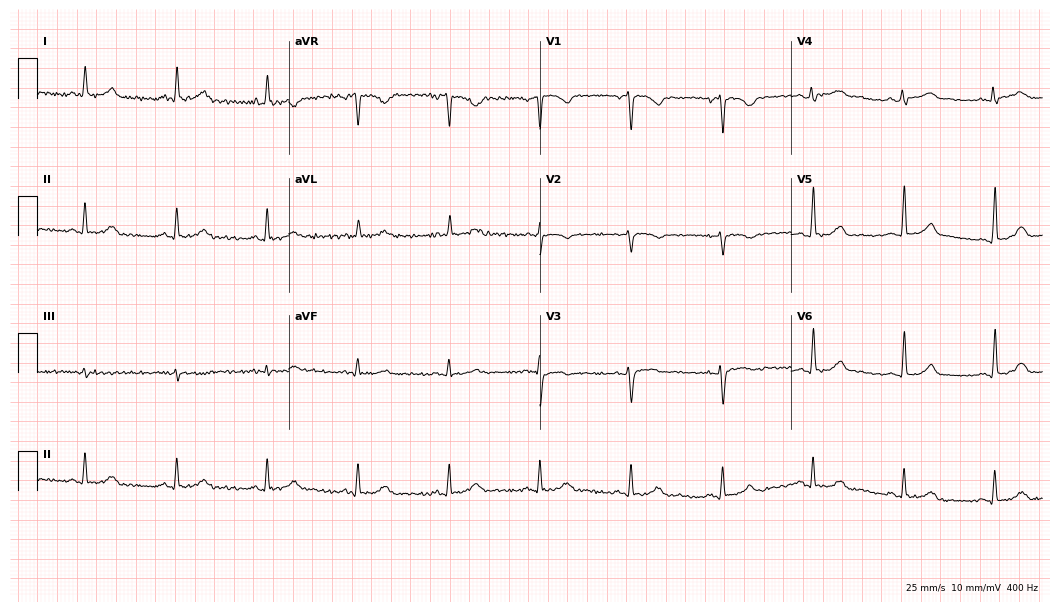
12-lead ECG (10.2-second recording at 400 Hz) from a man, 58 years old. Labelled as a normal ECG.